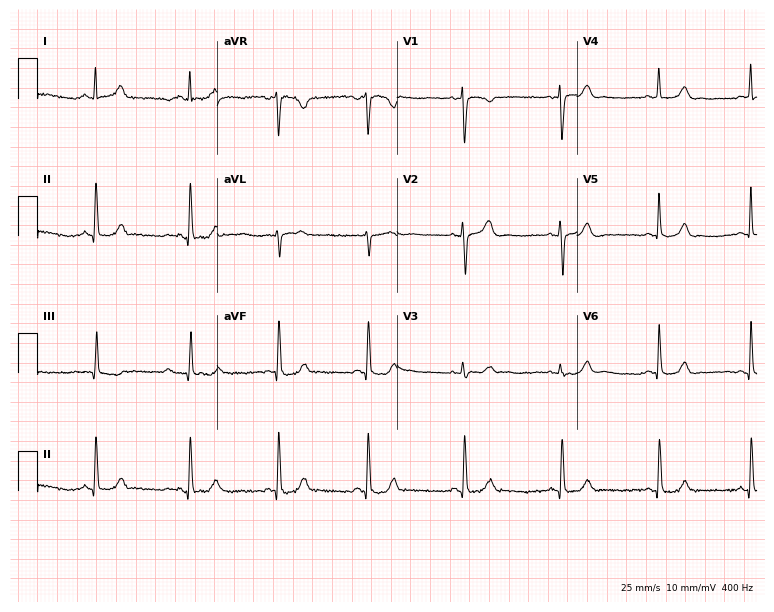
ECG (7.3-second recording at 400 Hz) — a woman, 30 years old. Screened for six findings — first-degree AV block, right bundle branch block, left bundle branch block, sinus bradycardia, atrial fibrillation, sinus tachycardia — none is recorded. Findings outside these six are not listed.